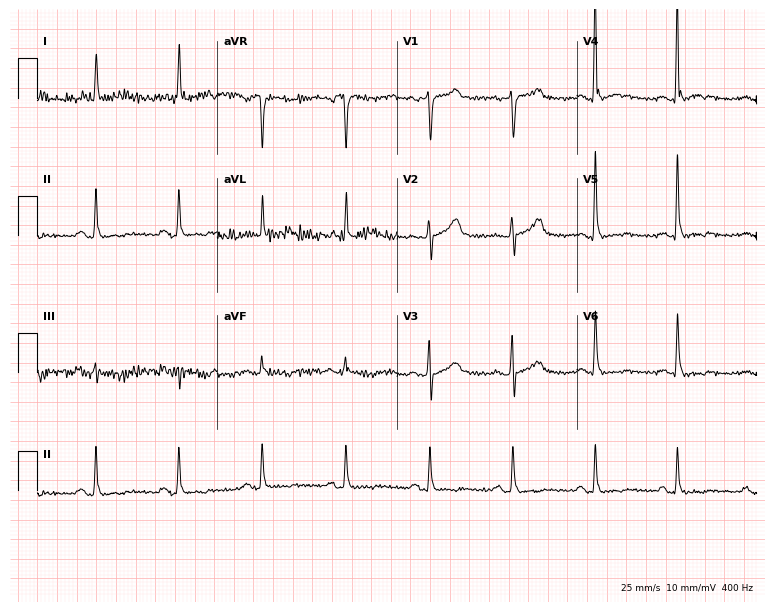
ECG — a 60-year-old male patient. Screened for six findings — first-degree AV block, right bundle branch block, left bundle branch block, sinus bradycardia, atrial fibrillation, sinus tachycardia — none is recorded.